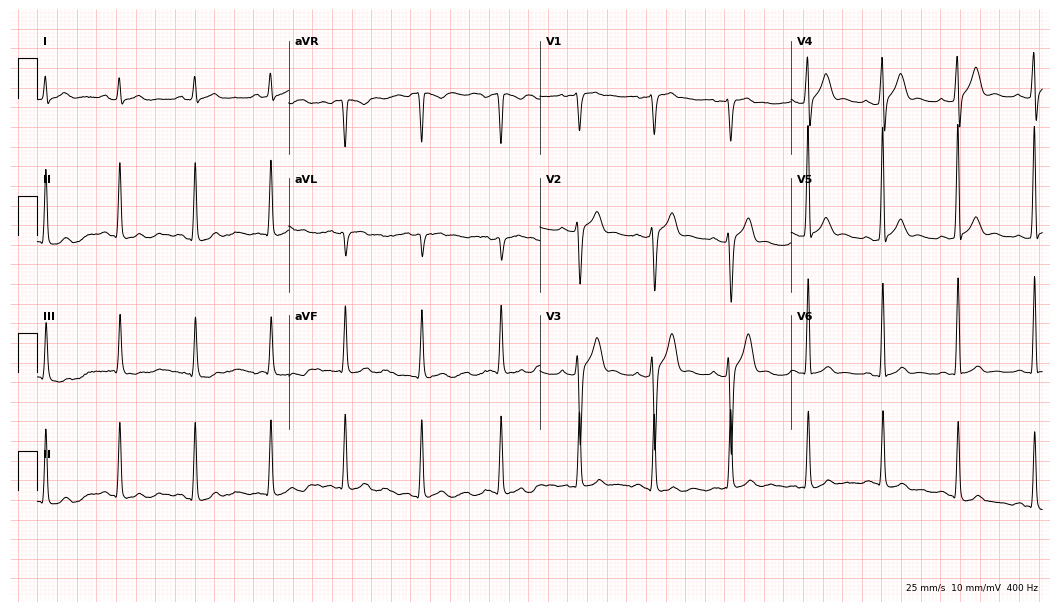
ECG (10.2-second recording at 400 Hz) — a man, 22 years old. Screened for six findings — first-degree AV block, right bundle branch block (RBBB), left bundle branch block (LBBB), sinus bradycardia, atrial fibrillation (AF), sinus tachycardia — none is recorded. Only these six findings were labelled.